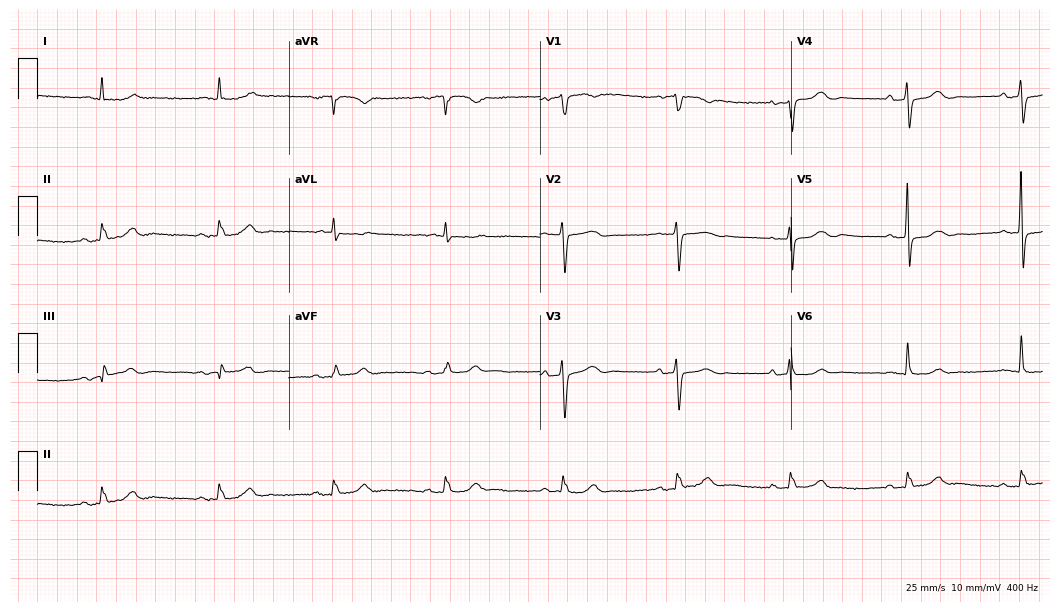
12-lead ECG from a woman, 76 years old. No first-degree AV block, right bundle branch block (RBBB), left bundle branch block (LBBB), sinus bradycardia, atrial fibrillation (AF) or sinus tachycardia recorded for this tracing. Findings outside these six are not listed.